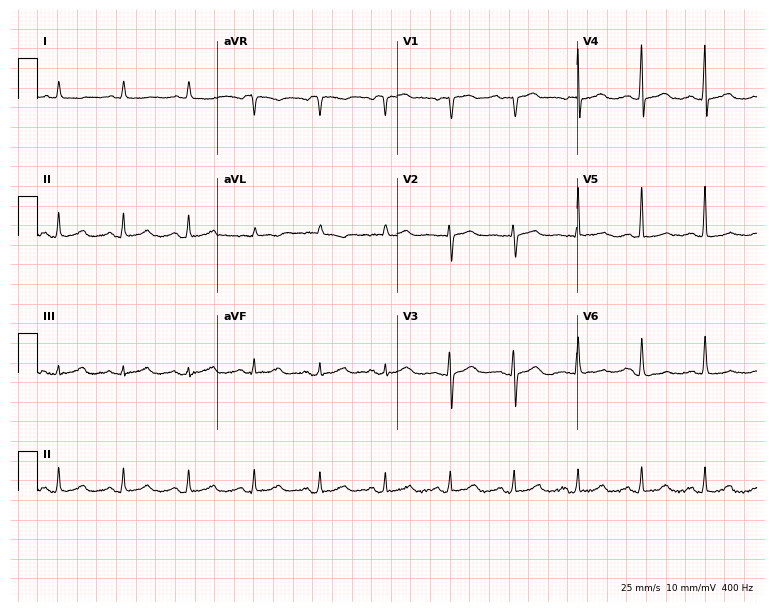
Resting 12-lead electrocardiogram (7.3-second recording at 400 Hz). Patient: a female, 62 years old. None of these six findings is recorded: first-degree AV block, right bundle branch block, left bundle branch block, sinus bradycardia, atrial fibrillation, sinus tachycardia.